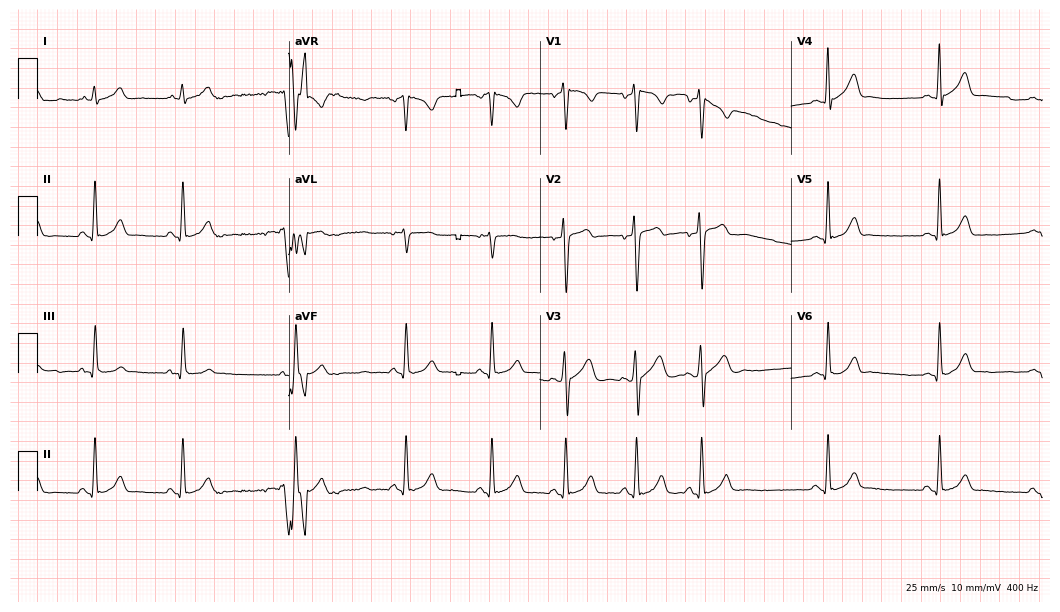
ECG (10.2-second recording at 400 Hz) — a 24-year-old male. Labelled as a normal ECG.